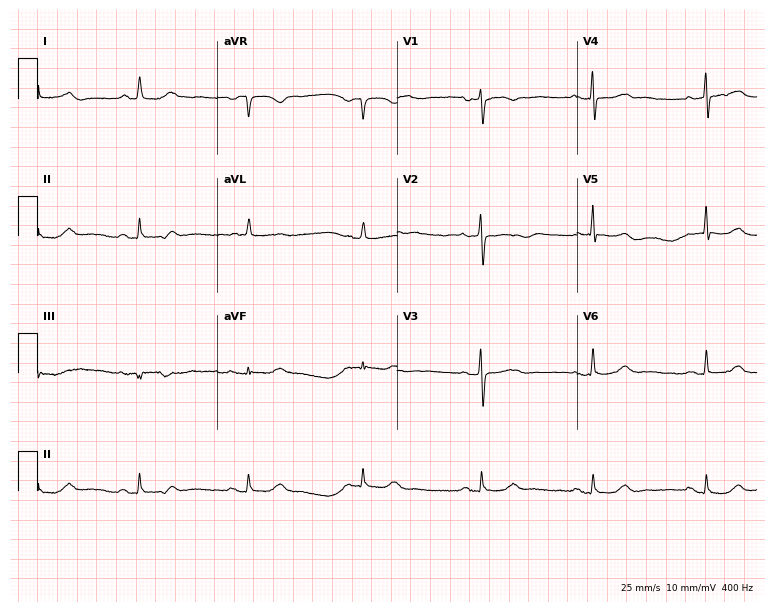
12-lead ECG from a woman, 77 years old (7.3-second recording at 400 Hz). Recorded interpretation: within normal limits.